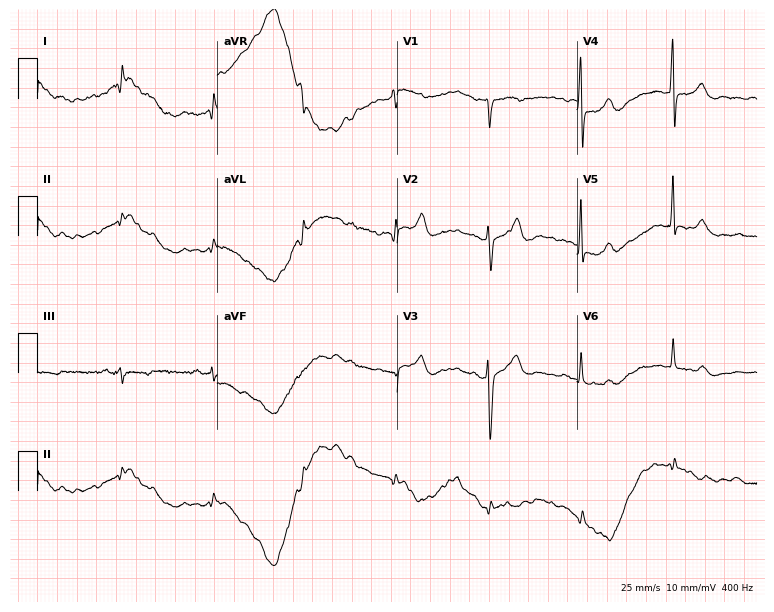
Electrocardiogram, a man, 66 years old. Of the six screened findings (first-degree AV block, right bundle branch block (RBBB), left bundle branch block (LBBB), sinus bradycardia, atrial fibrillation (AF), sinus tachycardia), none is recorded. Findings outside these six are not listed.